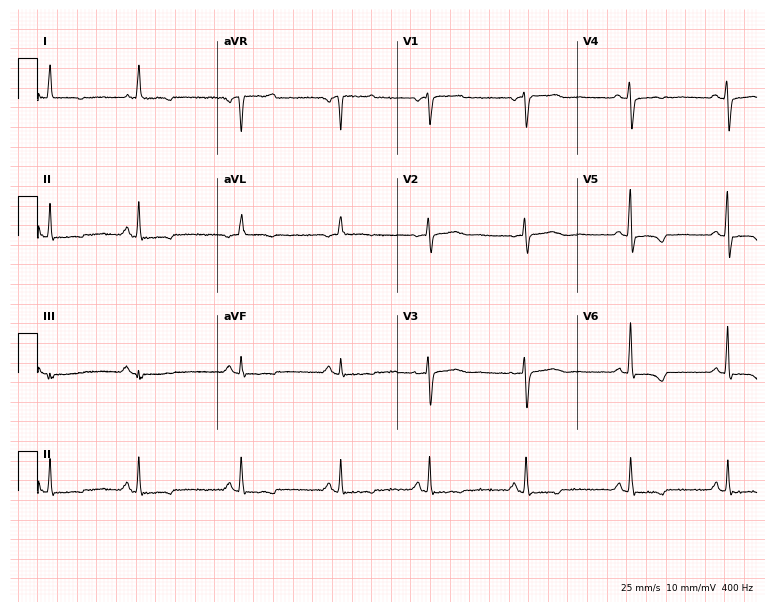
Resting 12-lead electrocardiogram. Patient: a 75-year-old female. None of these six findings is recorded: first-degree AV block, right bundle branch block, left bundle branch block, sinus bradycardia, atrial fibrillation, sinus tachycardia.